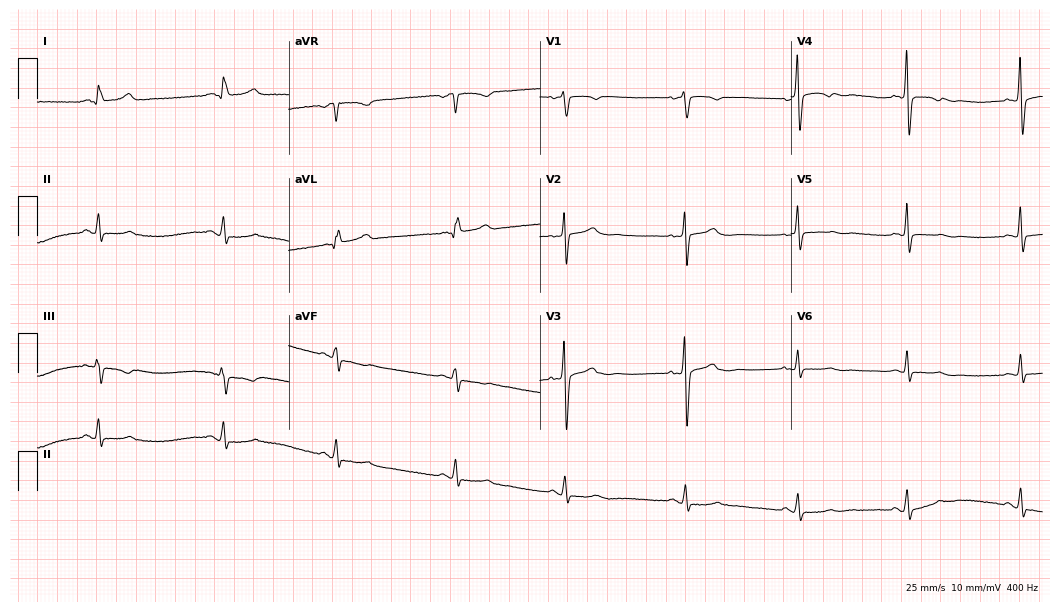
12-lead ECG (10.2-second recording at 400 Hz) from a female patient, 38 years old. Screened for six findings — first-degree AV block, right bundle branch block, left bundle branch block, sinus bradycardia, atrial fibrillation, sinus tachycardia — none is recorded. Other findings, if any, are not listed.